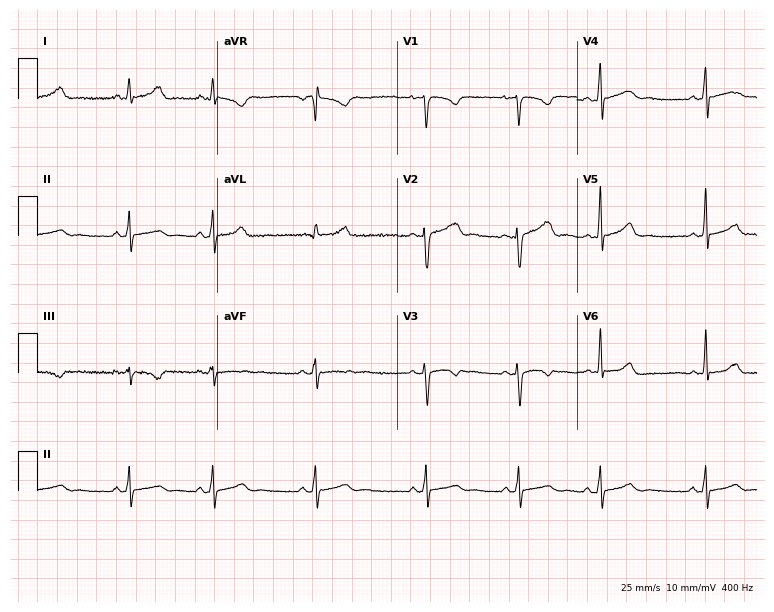
ECG — a 21-year-old woman. Labelled as a normal ECG.